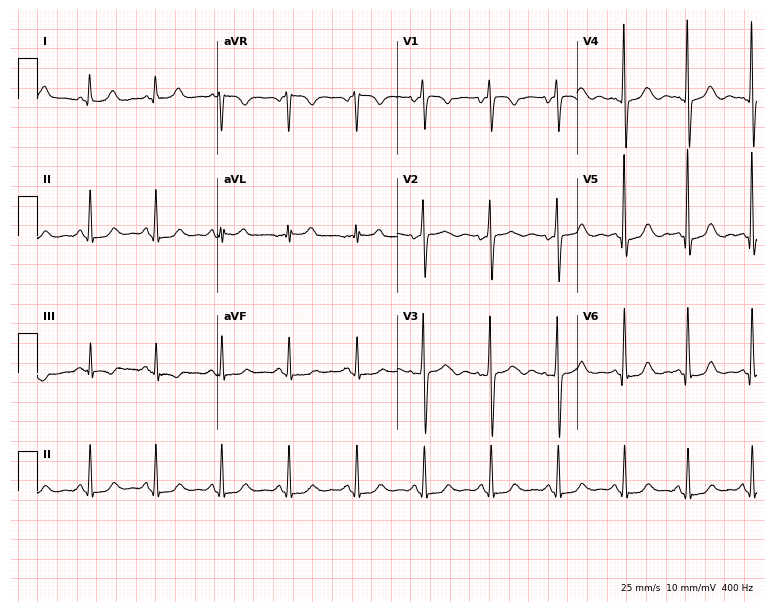
Electrocardiogram, a 54-year-old man. Overall reading on record: normal ECG.